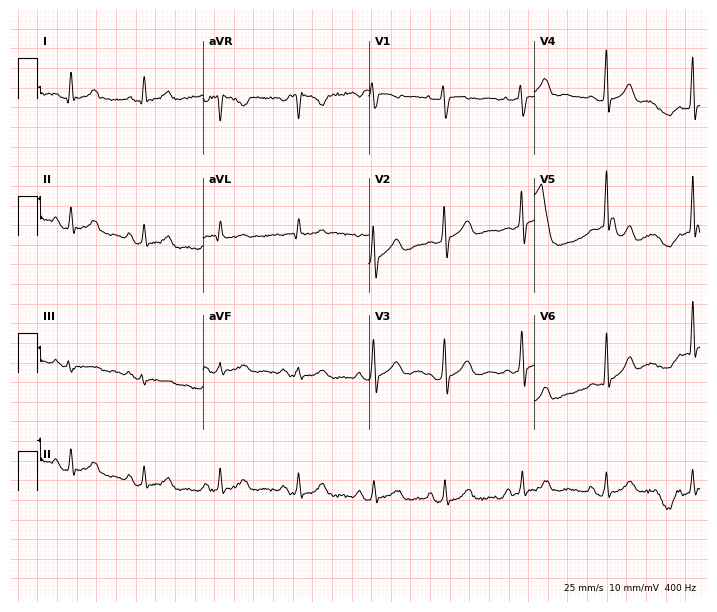
ECG — a female, 20 years old. Labelled as a normal ECG.